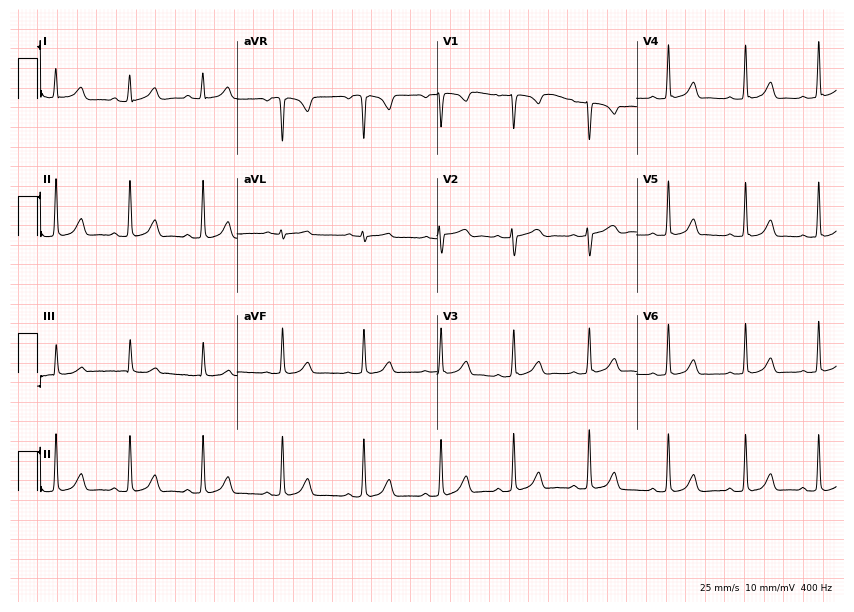
Resting 12-lead electrocardiogram. Patient: a female, 20 years old. Read as a normal ECG.